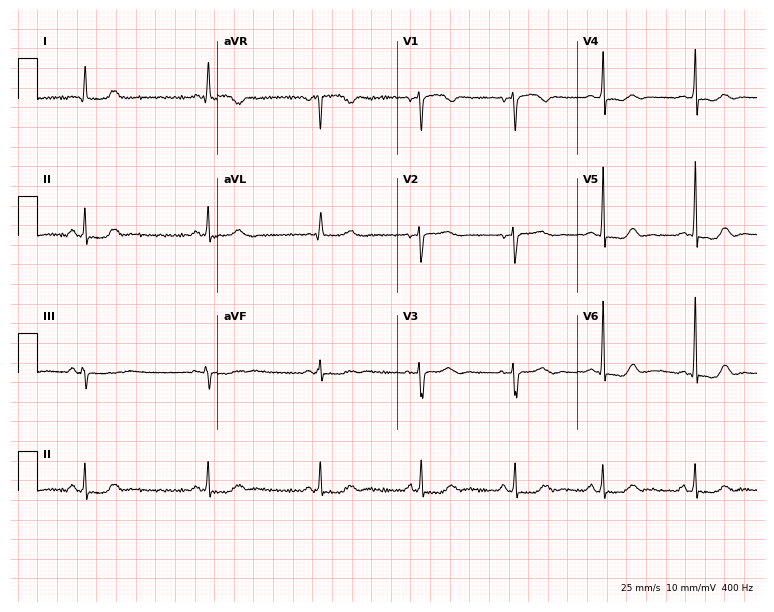
Resting 12-lead electrocardiogram (7.3-second recording at 400 Hz). Patient: a 41-year-old female. None of these six findings is recorded: first-degree AV block, right bundle branch block, left bundle branch block, sinus bradycardia, atrial fibrillation, sinus tachycardia. Only these six findings were labelled.